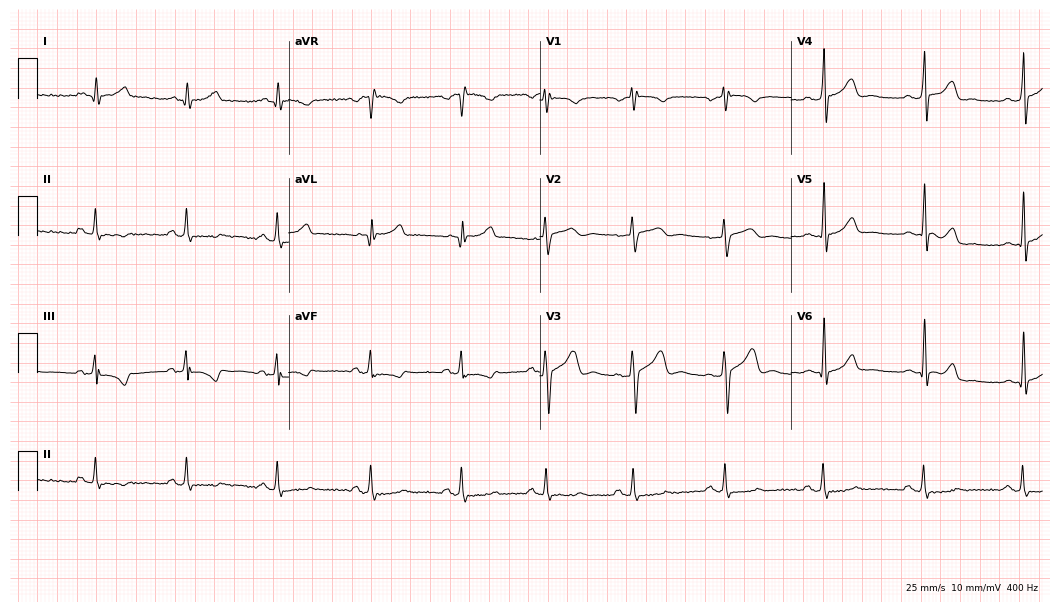
ECG — a 54-year-old man. Screened for six findings — first-degree AV block, right bundle branch block, left bundle branch block, sinus bradycardia, atrial fibrillation, sinus tachycardia — none is recorded.